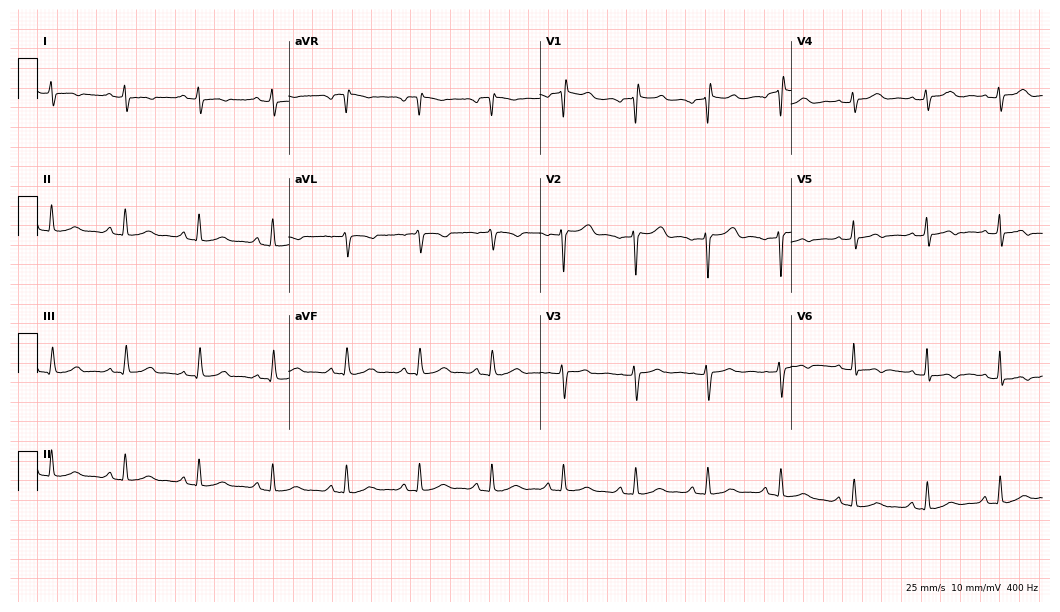
12-lead ECG from a 47-year-old female patient. No first-degree AV block, right bundle branch block, left bundle branch block, sinus bradycardia, atrial fibrillation or sinus tachycardia recorded for this tracing. Findings outside these six are not listed.